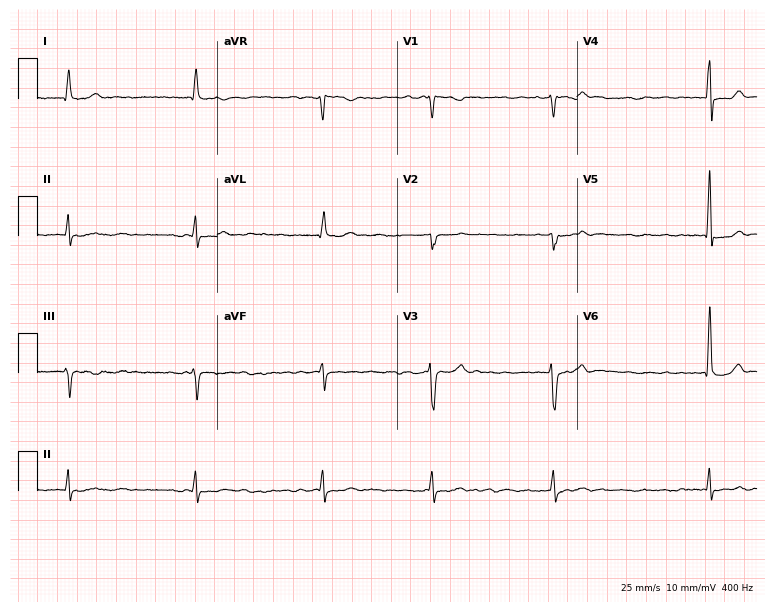
ECG — a female, 64 years old. Findings include atrial fibrillation.